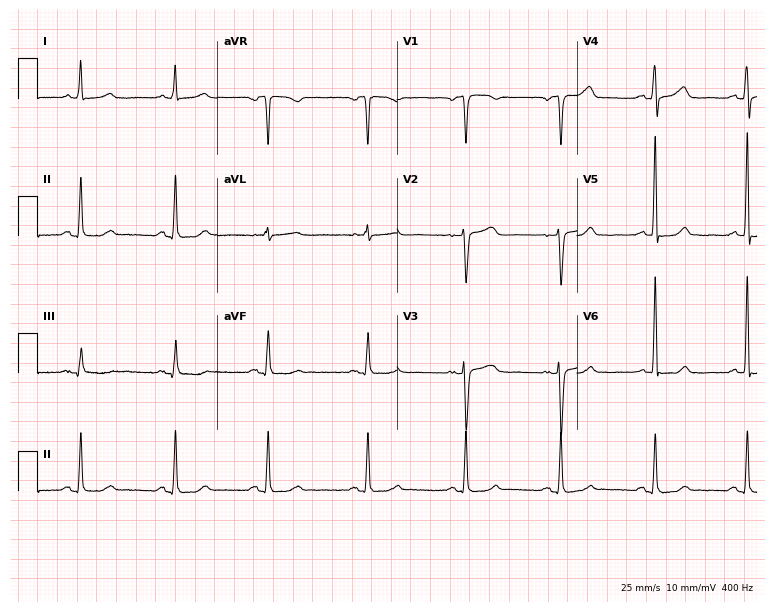
Standard 12-lead ECG recorded from a 63-year-old woman. Read as a normal ECG.